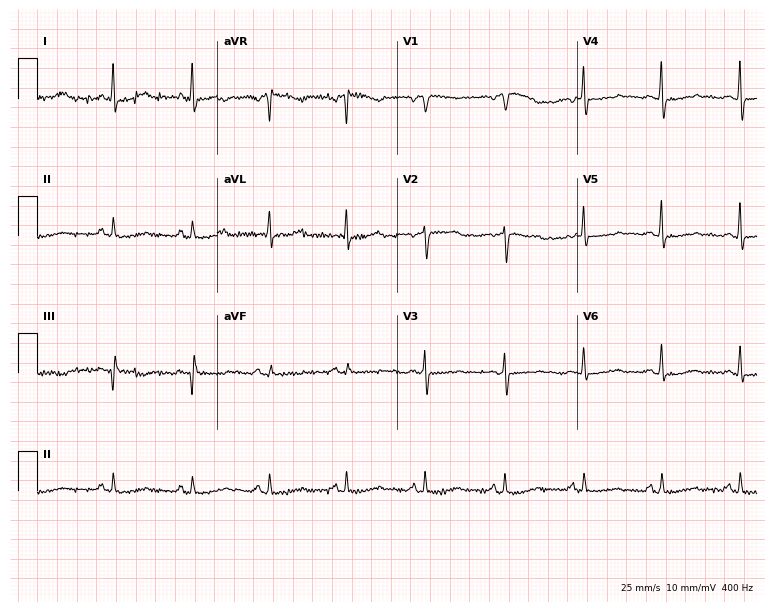
12-lead ECG from a woman, 44 years old. No first-degree AV block, right bundle branch block, left bundle branch block, sinus bradycardia, atrial fibrillation or sinus tachycardia recorded for this tracing.